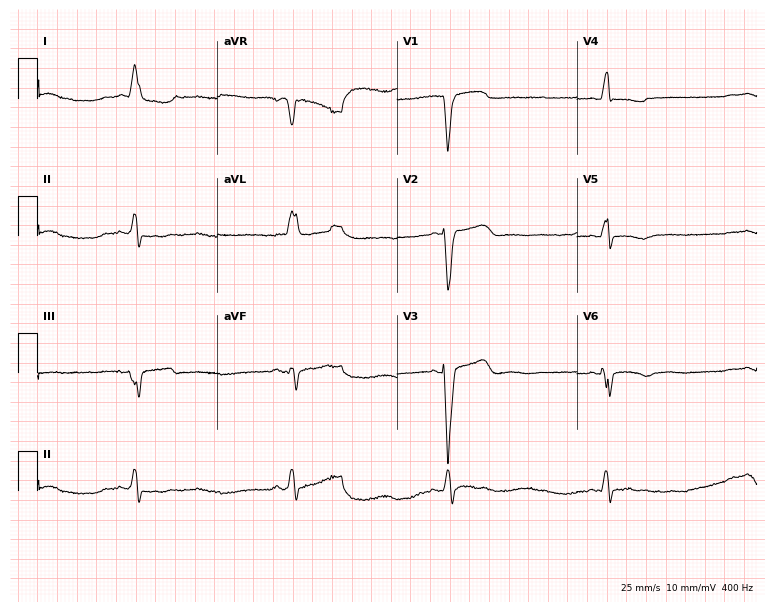
Resting 12-lead electrocardiogram. Patient: a female, 84 years old. The tracing shows left bundle branch block, sinus bradycardia (a sinus rate of 50 beats per minute or less).